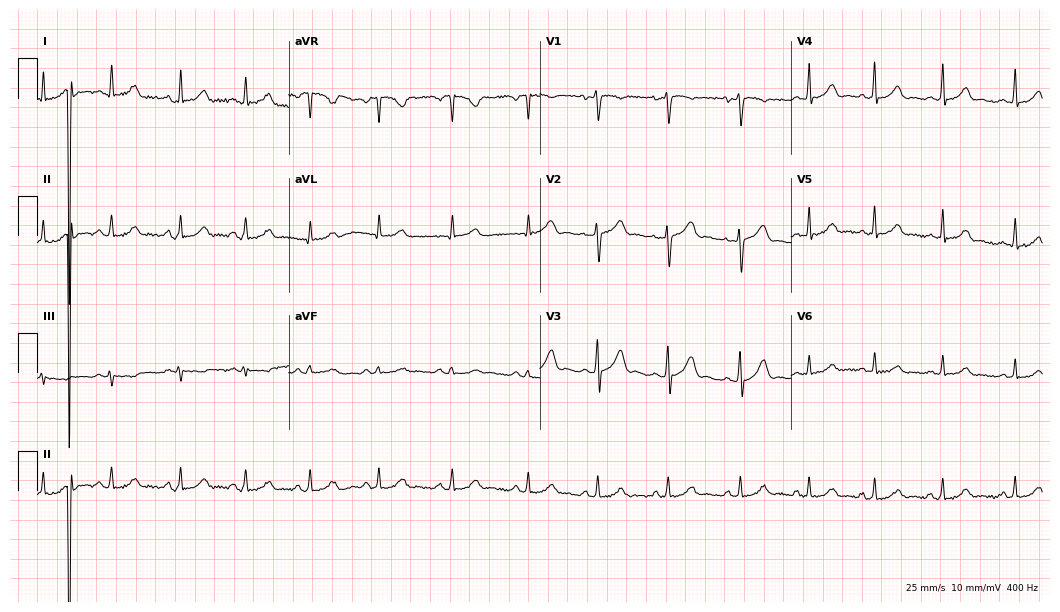
Electrocardiogram (10.2-second recording at 400 Hz), a 24-year-old female patient. Overall reading on record: normal ECG.